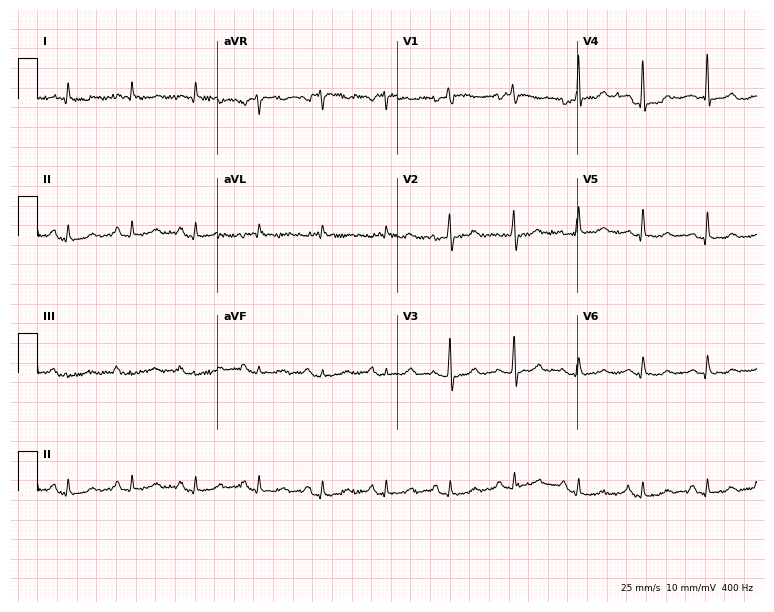
12-lead ECG from a 79-year-old male (7.3-second recording at 400 Hz). No first-degree AV block, right bundle branch block, left bundle branch block, sinus bradycardia, atrial fibrillation or sinus tachycardia recorded for this tracing. Only these six findings were labelled.